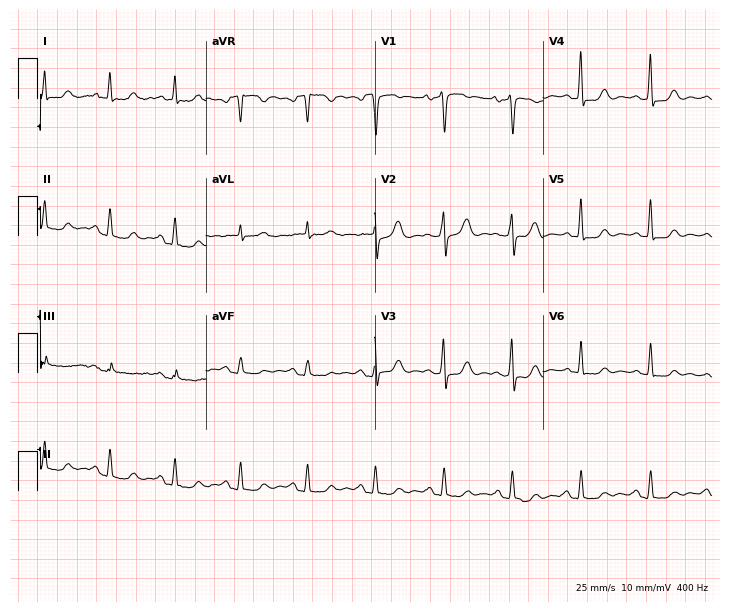
ECG (6.9-second recording at 400 Hz) — a female, 68 years old. Screened for six findings — first-degree AV block, right bundle branch block, left bundle branch block, sinus bradycardia, atrial fibrillation, sinus tachycardia — none is recorded.